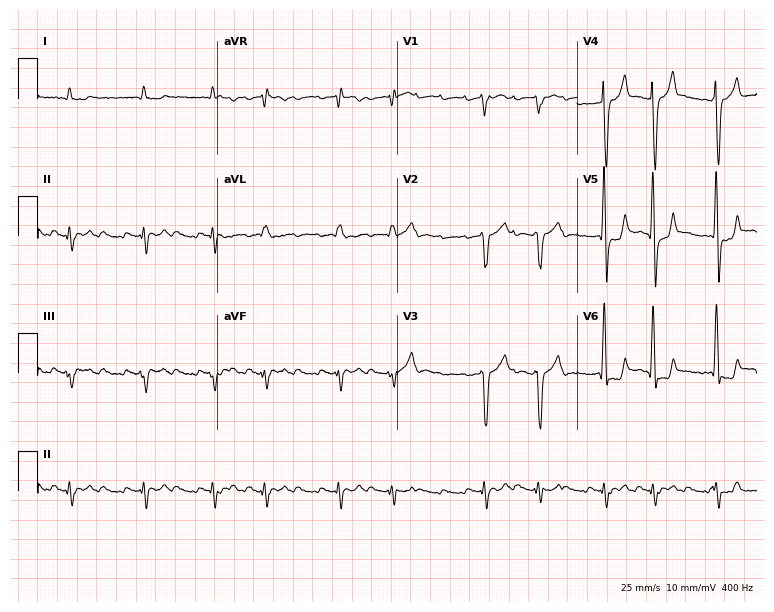
12-lead ECG from an 82-year-old male. Shows atrial fibrillation (AF).